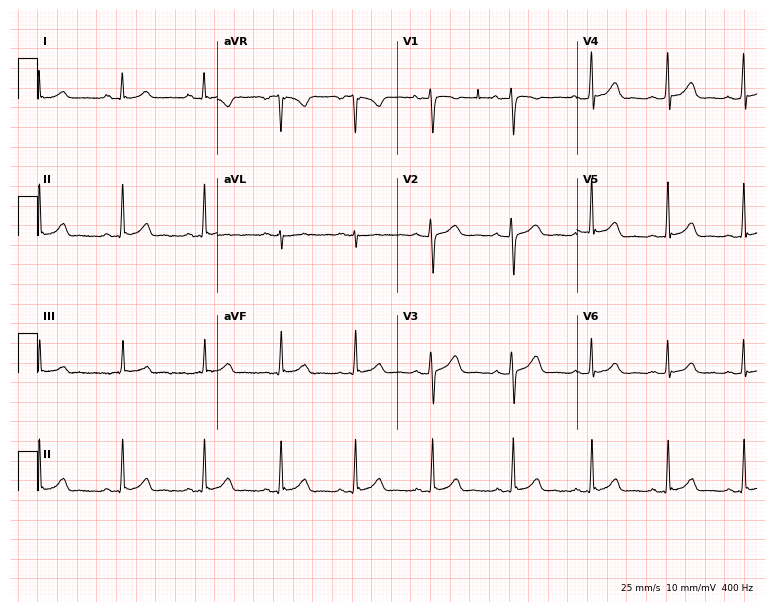
Resting 12-lead electrocardiogram (7.3-second recording at 400 Hz). Patient: a 19-year-old woman. None of these six findings is recorded: first-degree AV block, right bundle branch block, left bundle branch block, sinus bradycardia, atrial fibrillation, sinus tachycardia. Other findings, if any, are not listed.